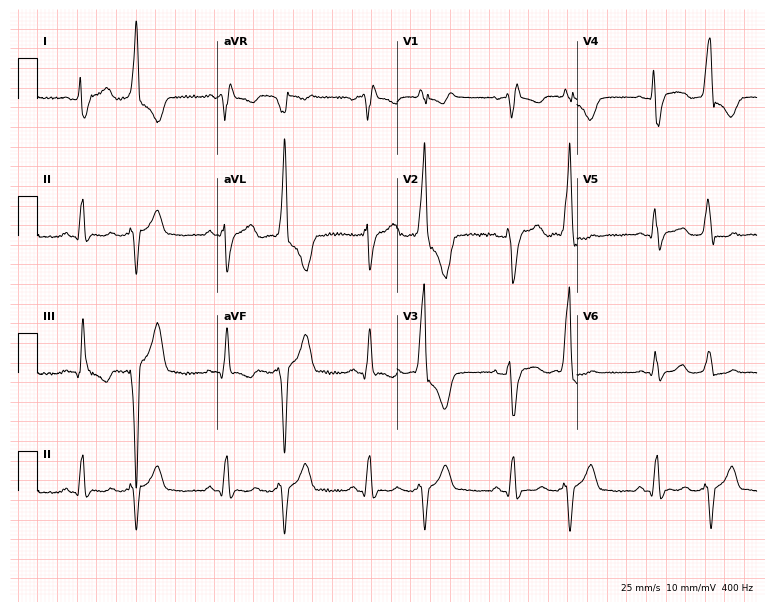
12-lead ECG (7.3-second recording at 400 Hz) from a 48-year-old female patient. Findings include right bundle branch block.